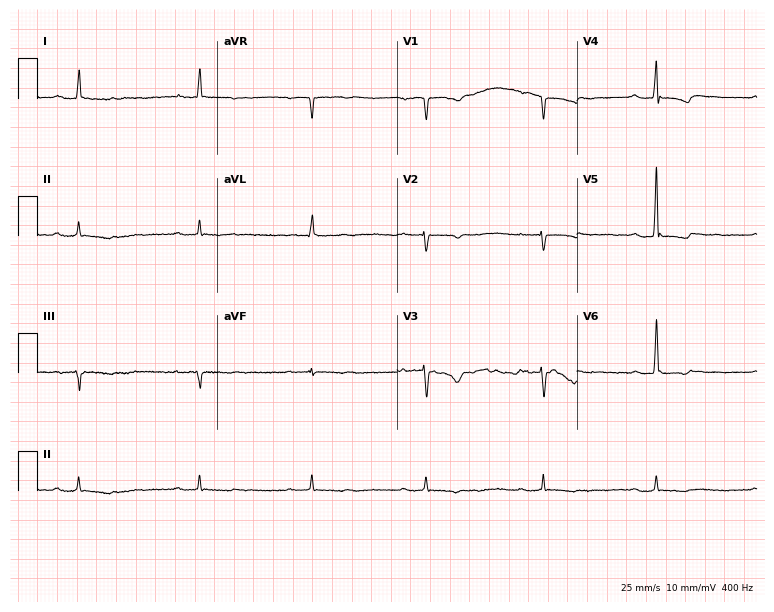
ECG (7.3-second recording at 400 Hz) — a 65-year-old woman. Screened for six findings — first-degree AV block, right bundle branch block, left bundle branch block, sinus bradycardia, atrial fibrillation, sinus tachycardia — none is recorded. Only these six findings were labelled.